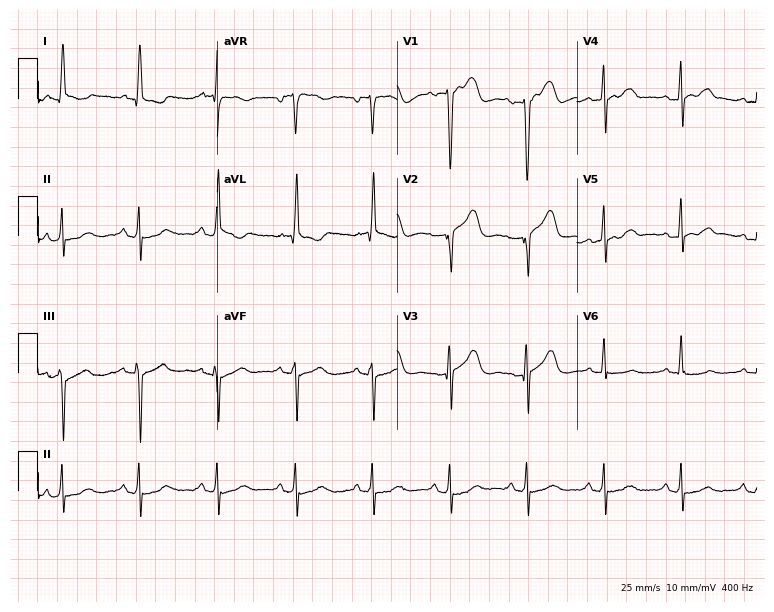
Electrocardiogram (7.3-second recording at 400 Hz), a female patient, 67 years old. Of the six screened findings (first-degree AV block, right bundle branch block, left bundle branch block, sinus bradycardia, atrial fibrillation, sinus tachycardia), none is recorded. Findings outside these six are not listed.